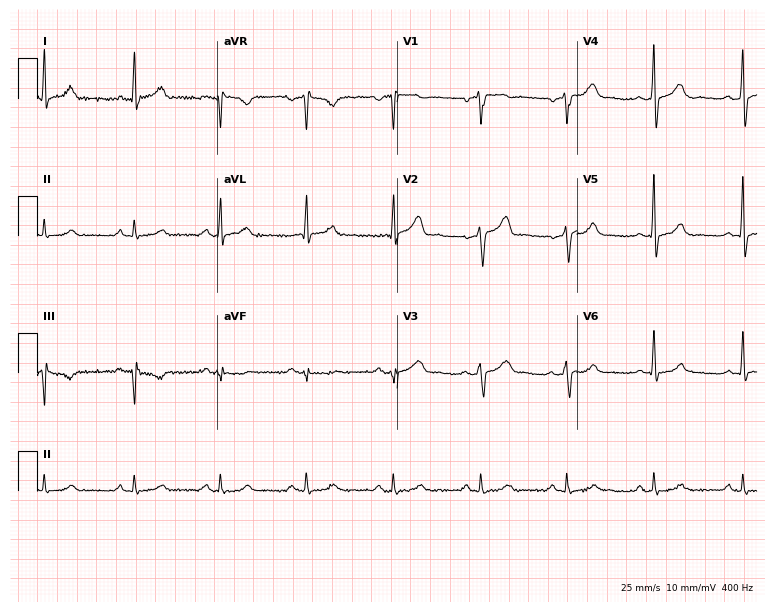
ECG (7.3-second recording at 400 Hz) — a male patient, 51 years old. Labelled as a normal ECG.